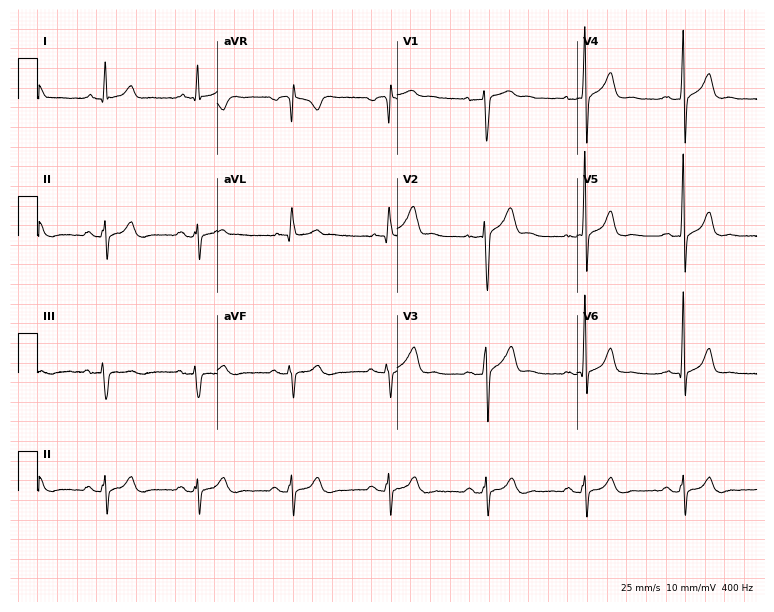
12-lead ECG from a 55-year-old male. Screened for six findings — first-degree AV block, right bundle branch block, left bundle branch block, sinus bradycardia, atrial fibrillation, sinus tachycardia — none is recorded.